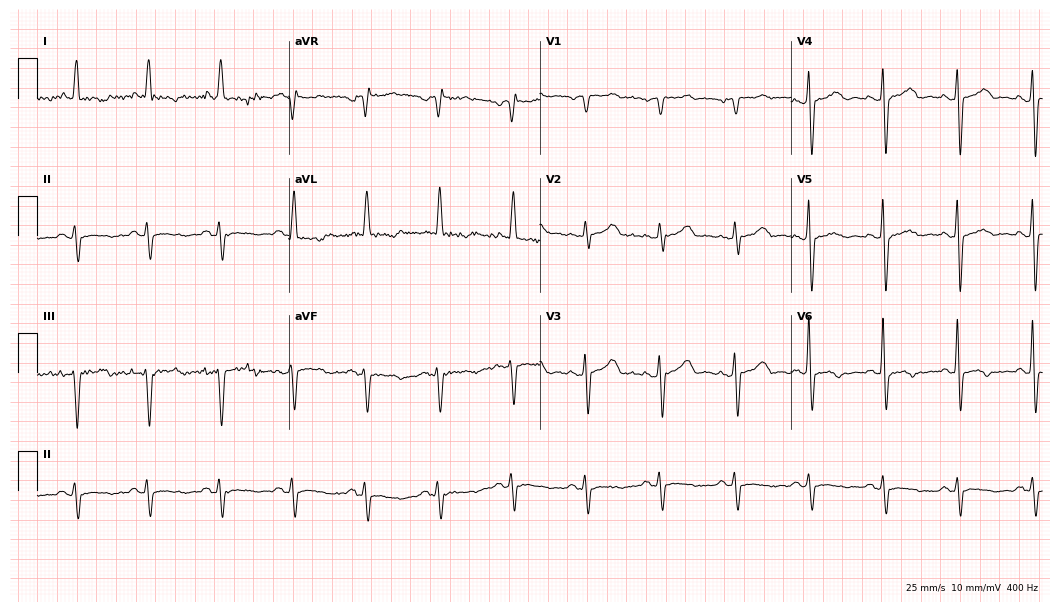
ECG — an 80-year-old male patient. Screened for six findings — first-degree AV block, right bundle branch block, left bundle branch block, sinus bradycardia, atrial fibrillation, sinus tachycardia — none is recorded. Only these six findings were labelled.